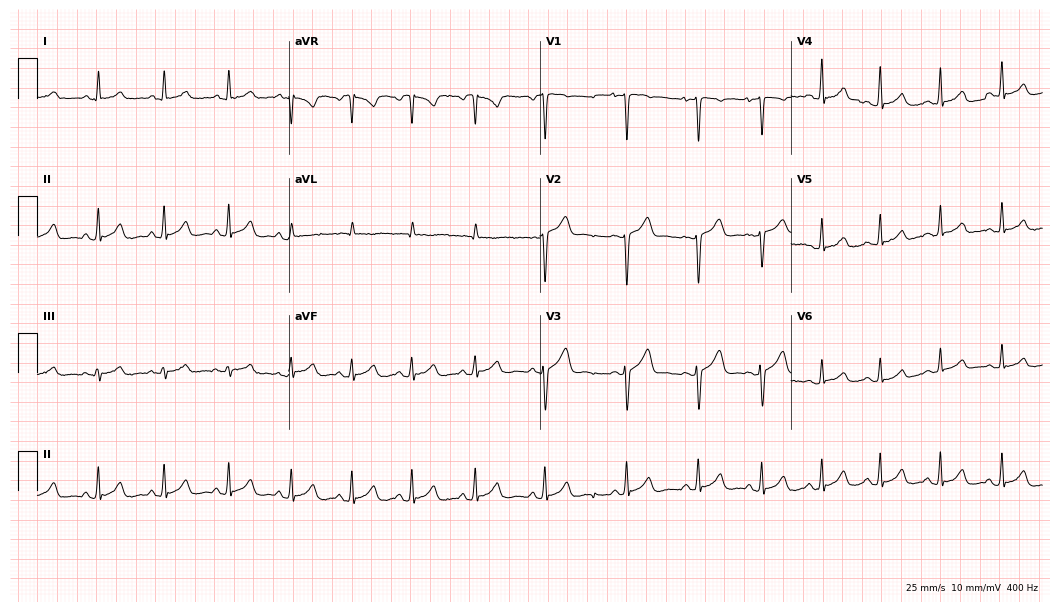
12-lead ECG from a woman, 20 years old. Recorded interpretation: within normal limits.